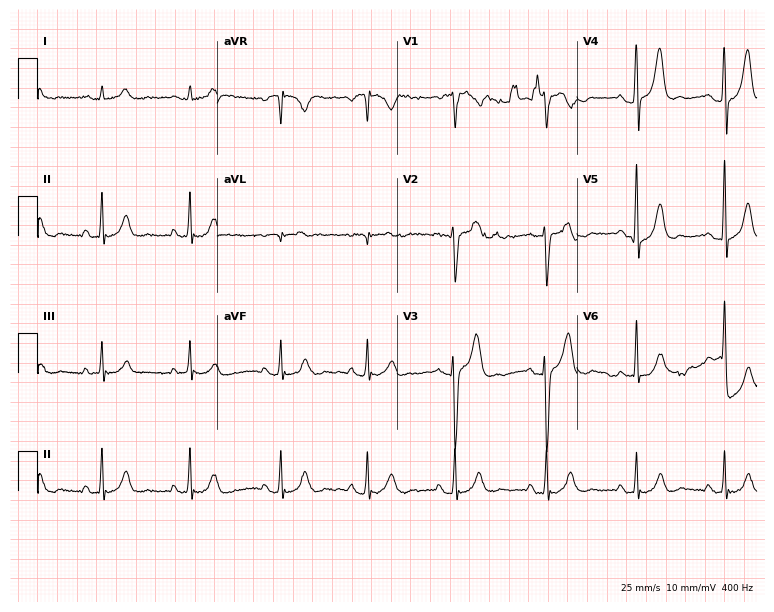
ECG — a 49-year-old male. Labelled as a normal ECG.